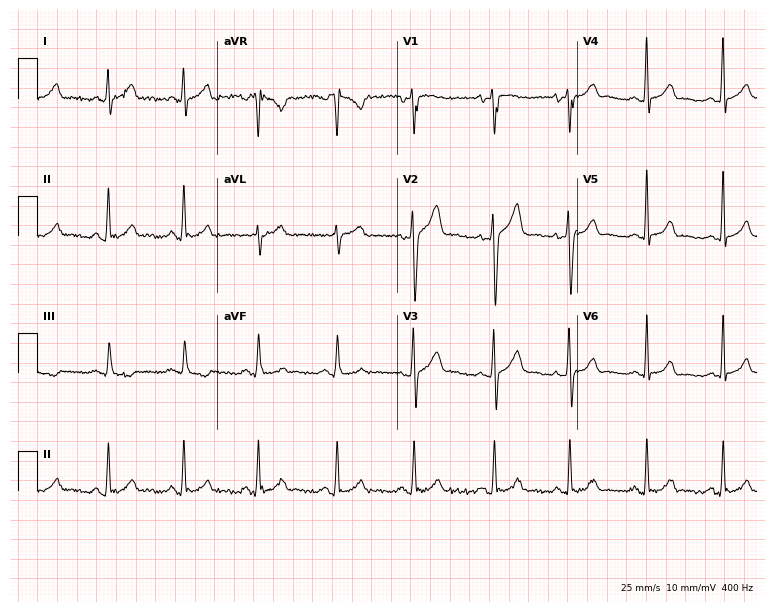
Standard 12-lead ECG recorded from a man, 25 years old. Read as a normal ECG.